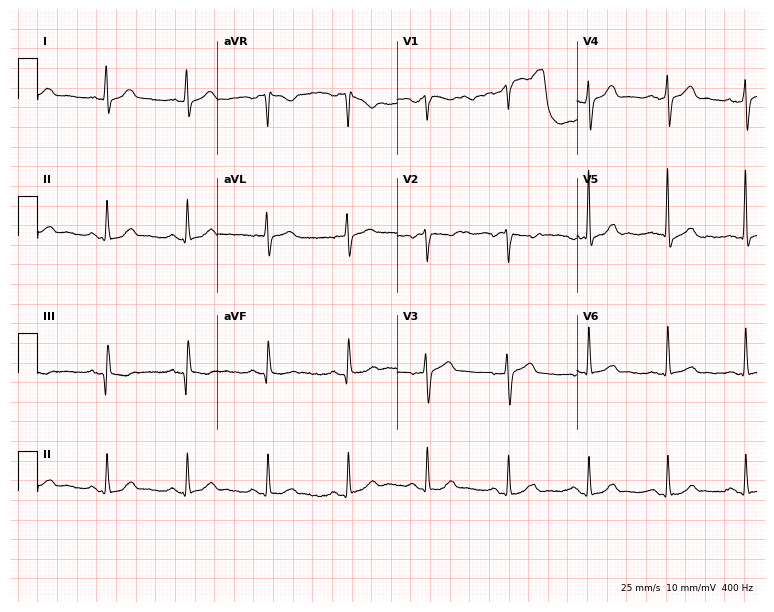
Resting 12-lead electrocardiogram. Patient: a 55-year-old male. Read as a normal ECG.